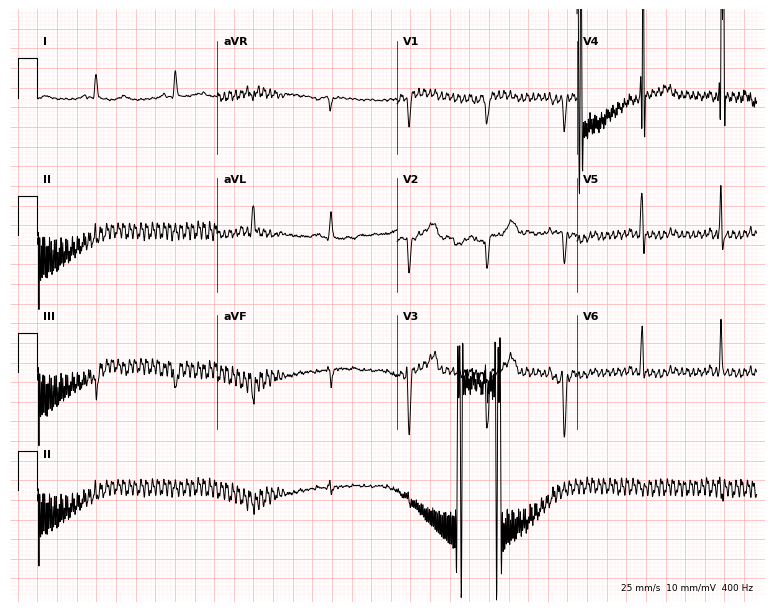
Standard 12-lead ECG recorded from an 85-year-old woman (7.3-second recording at 400 Hz). None of these six findings is recorded: first-degree AV block, right bundle branch block, left bundle branch block, sinus bradycardia, atrial fibrillation, sinus tachycardia. Findings outside these six are not listed.